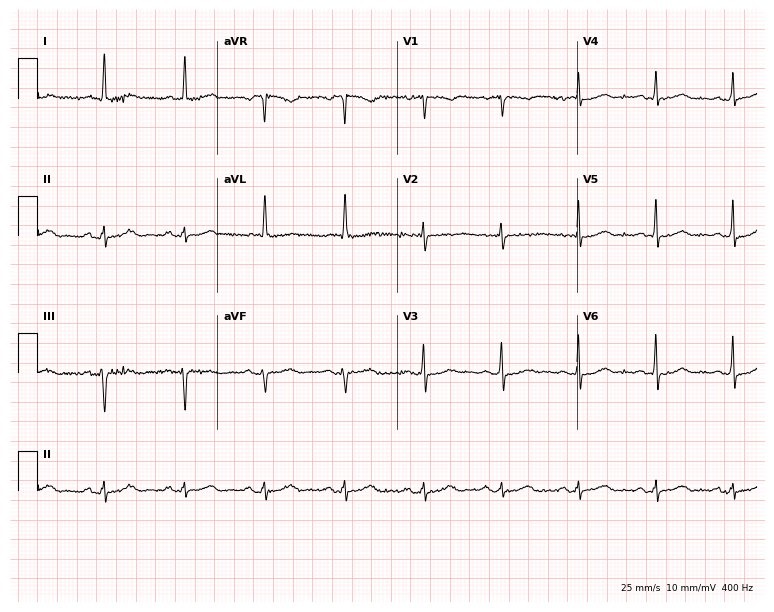
Electrocardiogram (7.3-second recording at 400 Hz), a female patient, 61 years old. Of the six screened findings (first-degree AV block, right bundle branch block, left bundle branch block, sinus bradycardia, atrial fibrillation, sinus tachycardia), none is recorded.